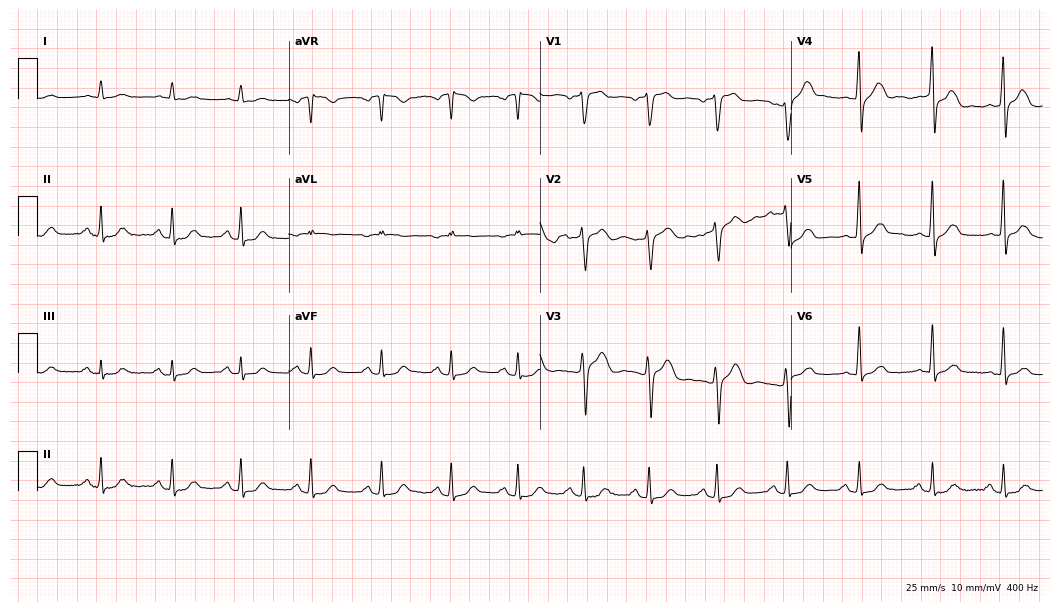
ECG — a 68-year-old male. Labelled as a normal ECG.